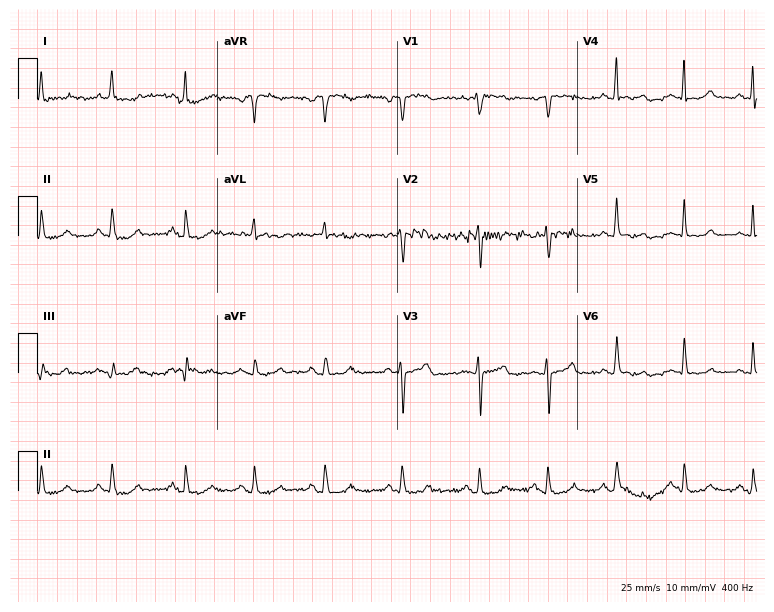
Standard 12-lead ECG recorded from a 77-year-old woman (7.3-second recording at 400 Hz). Read as a normal ECG.